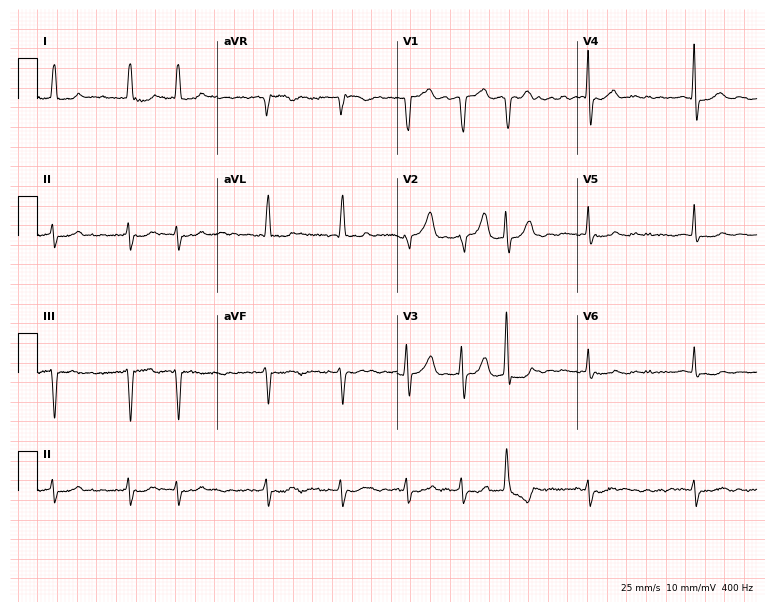
Resting 12-lead electrocardiogram. Patient: an 84-year-old man. The tracing shows atrial fibrillation.